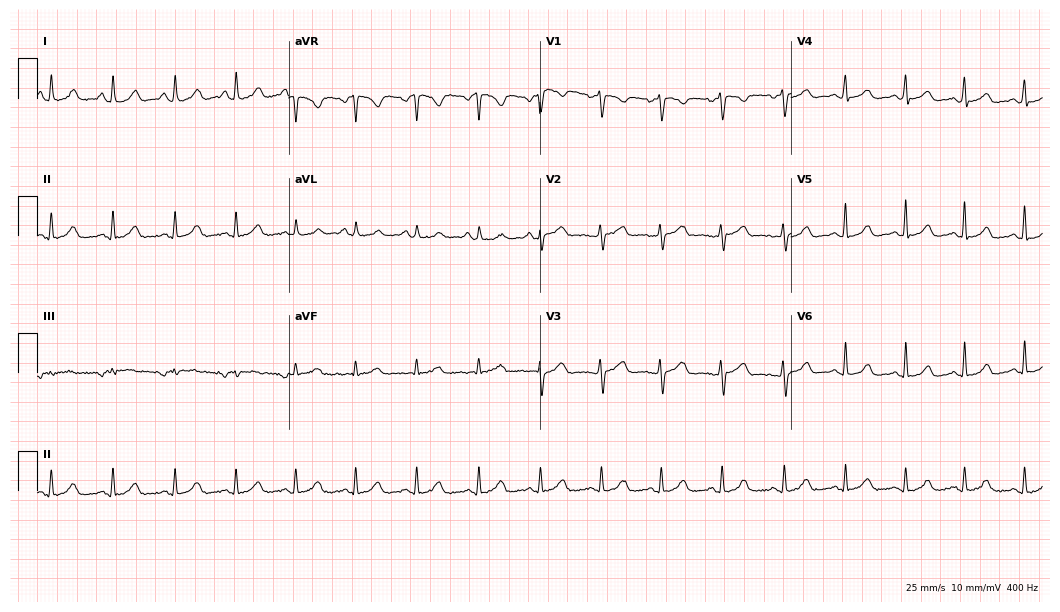
Resting 12-lead electrocardiogram (10.2-second recording at 400 Hz). Patient: a woman, 42 years old. Read as a normal ECG.